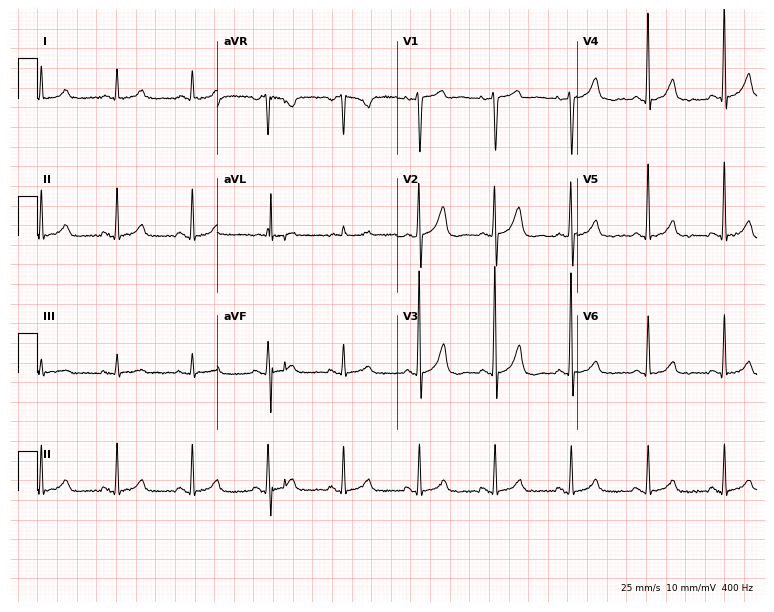
12-lead ECG from a 67-year-old female. Recorded interpretation: within normal limits.